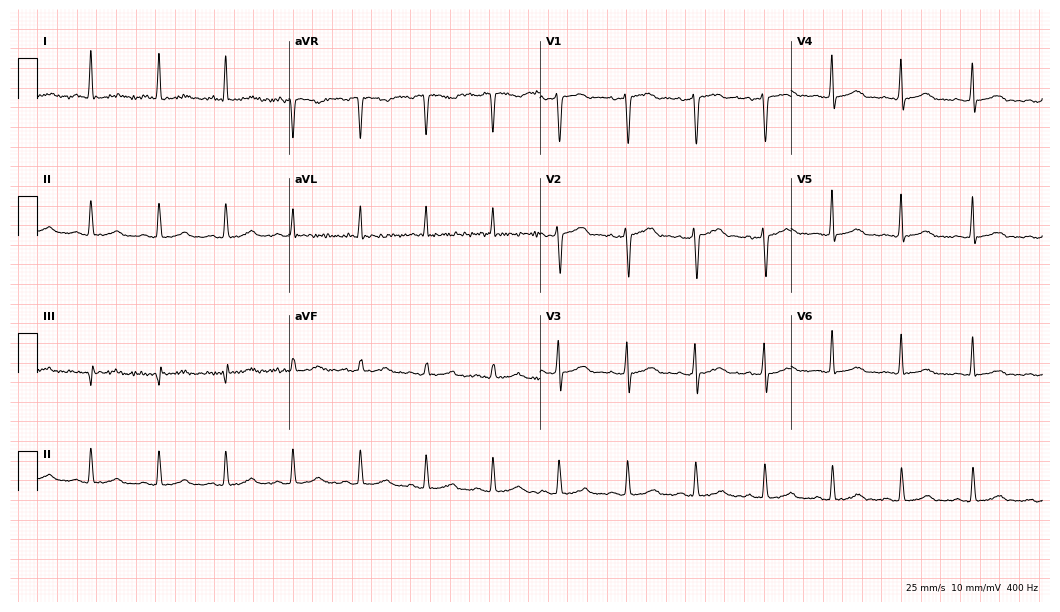
Resting 12-lead electrocardiogram (10.2-second recording at 400 Hz). Patient: a female, 39 years old. None of these six findings is recorded: first-degree AV block, right bundle branch block, left bundle branch block, sinus bradycardia, atrial fibrillation, sinus tachycardia. Only these six findings were labelled.